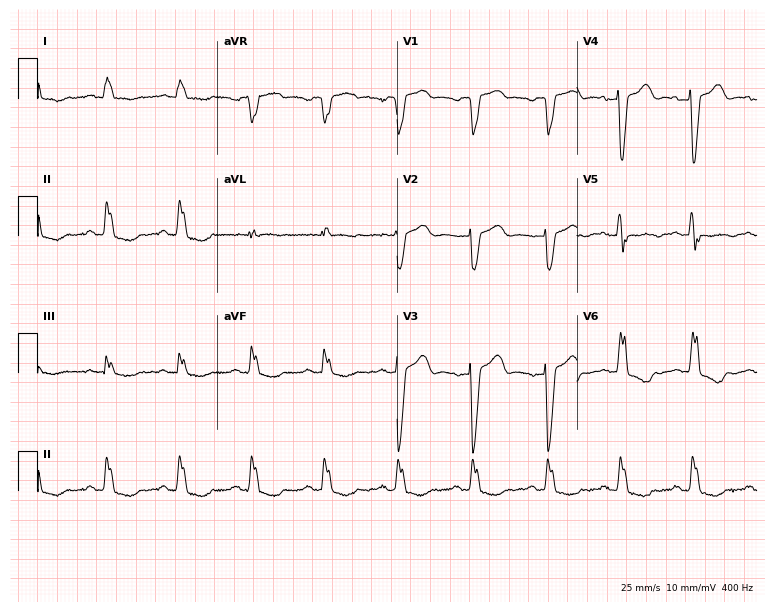
Standard 12-lead ECG recorded from an 80-year-old female patient (7.3-second recording at 400 Hz). The tracing shows left bundle branch block.